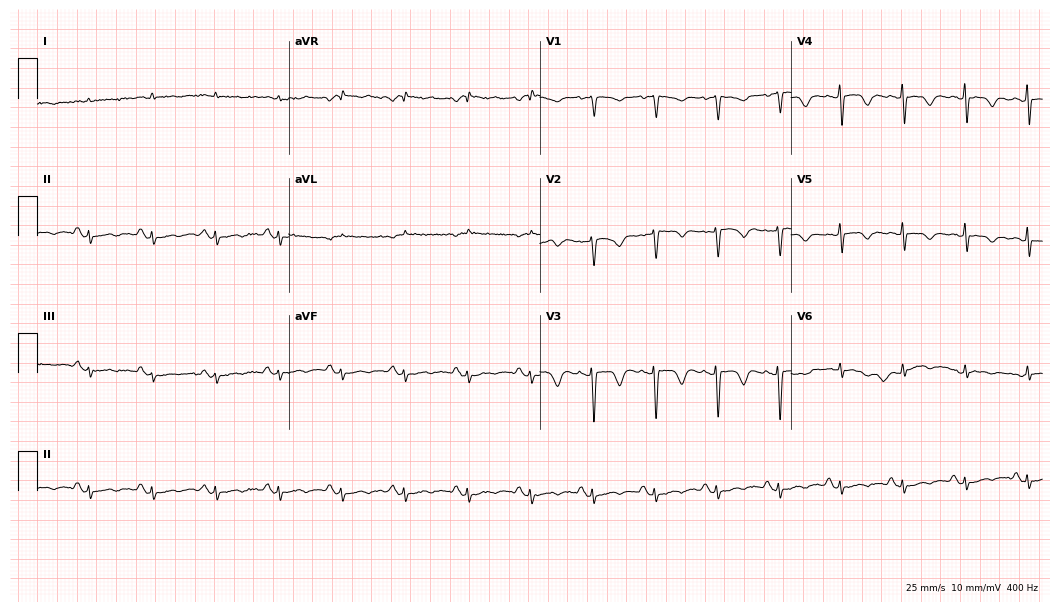
12-lead ECG from a female, 83 years old (10.2-second recording at 400 Hz). No first-degree AV block, right bundle branch block (RBBB), left bundle branch block (LBBB), sinus bradycardia, atrial fibrillation (AF) or sinus tachycardia recorded for this tracing.